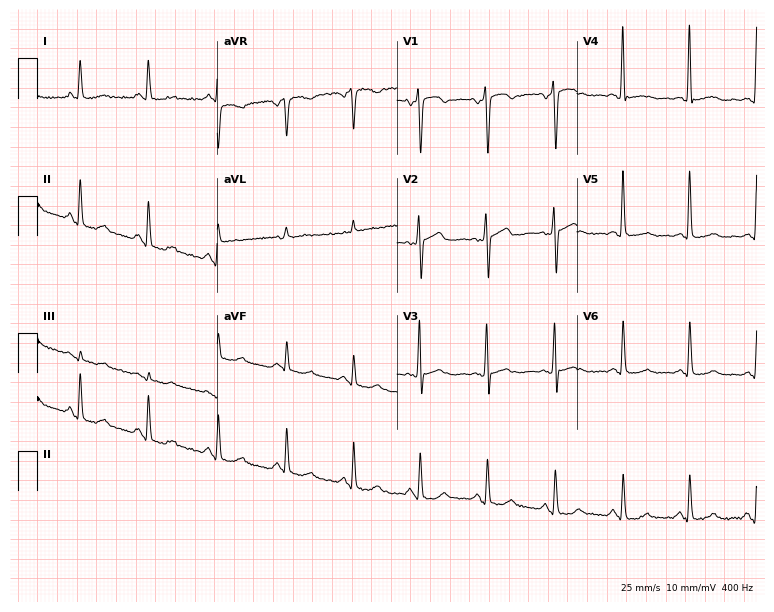
12-lead ECG from a female patient, 64 years old. No first-degree AV block, right bundle branch block, left bundle branch block, sinus bradycardia, atrial fibrillation or sinus tachycardia recorded for this tracing. Findings outside these six are not listed.